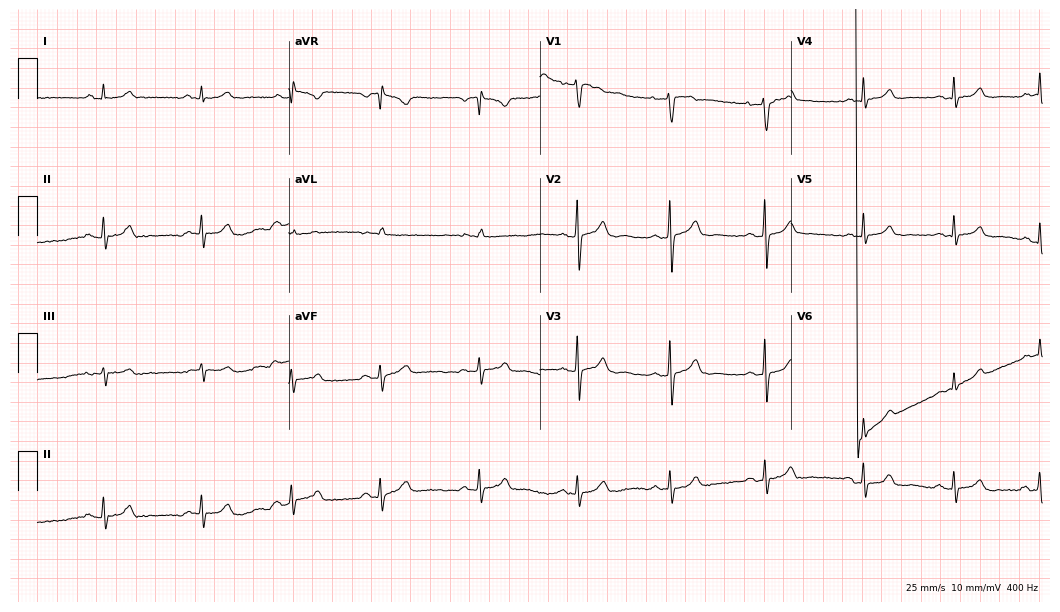
12-lead ECG (10.2-second recording at 400 Hz) from a 39-year-old male. Labelled as a normal ECG.